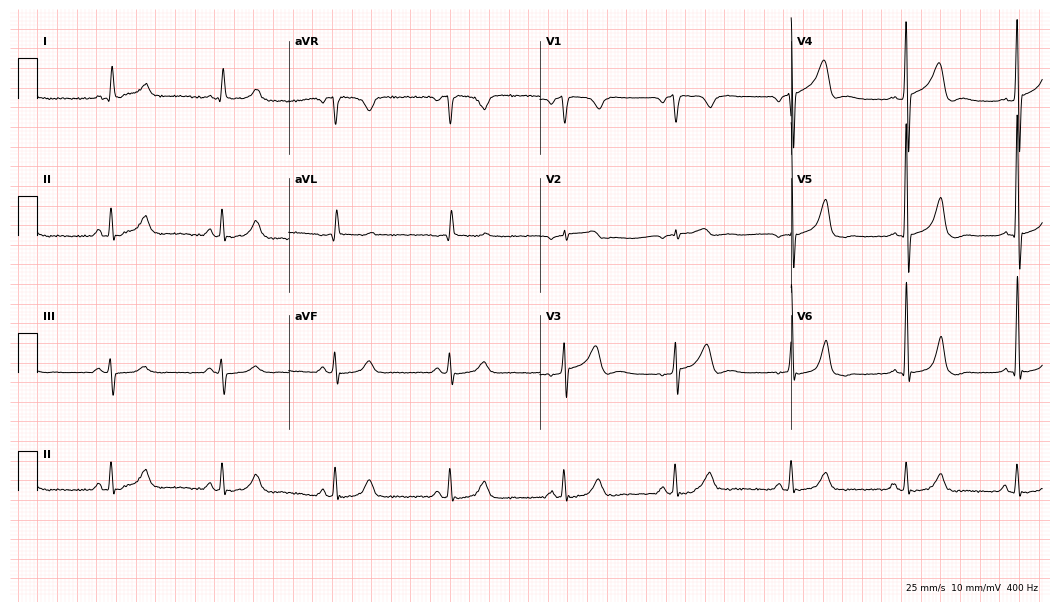
Electrocardiogram, an 82-year-old male. Of the six screened findings (first-degree AV block, right bundle branch block (RBBB), left bundle branch block (LBBB), sinus bradycardia, atrial fibrillation (AF), sinus tachycardia), none is recorded.